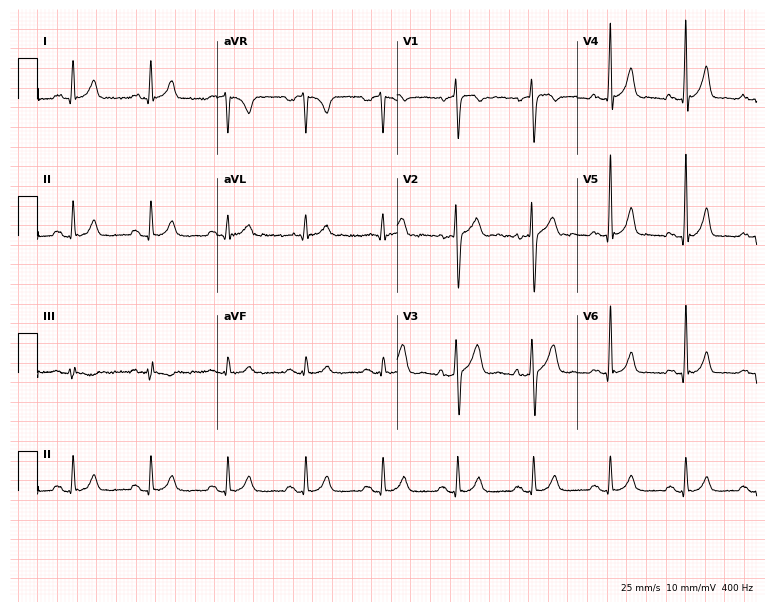
Electrocardiogram (7.3-second recording at 400 Hz), a male, 41 years old. Overall reading on record: normal ECG.